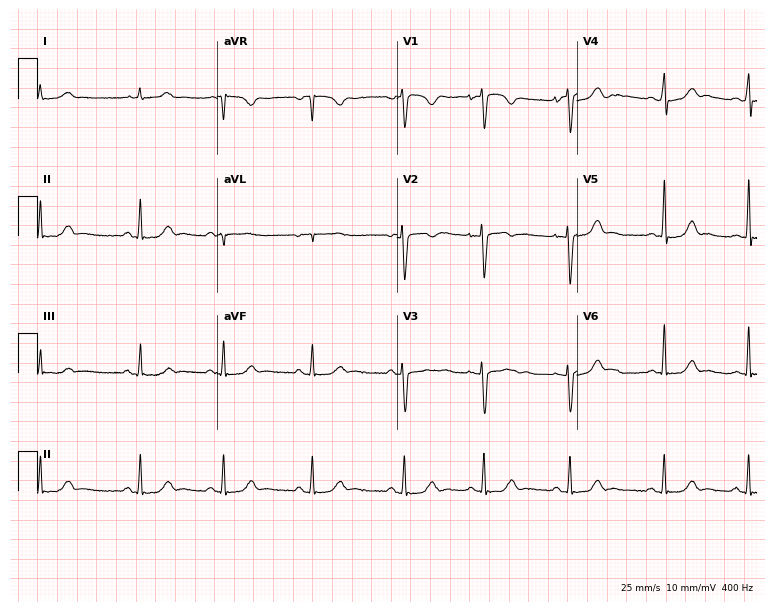
12-lead ECG from a 20-year-old female patient (7.3-second recording at 400 Hz). No first-degree AV block, right bundle branch block (RBBB), left bundle branch block (LBBB), sinus bradycardia, atrial fibrillation (AF) or sinus tachycardia recorded for this tracing.